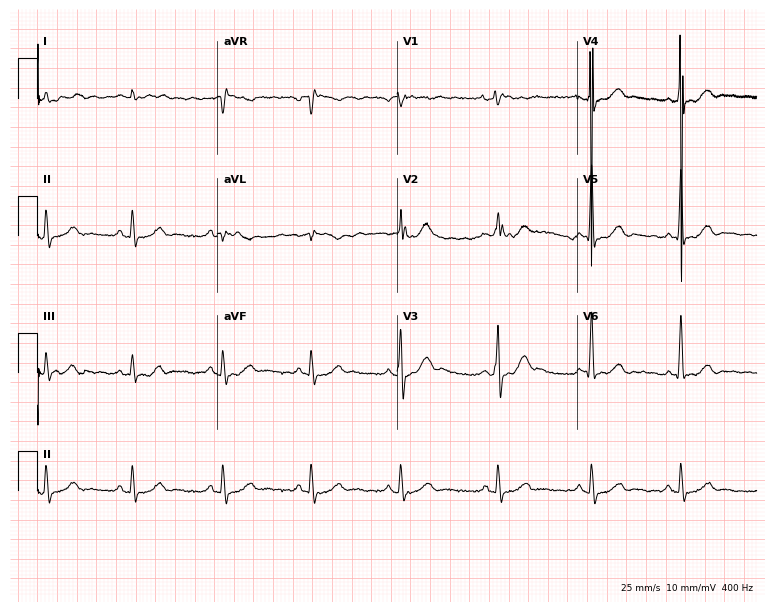
ECG — a 64-year-old male. Screened for six findings — first-degree AV block, right bundle branch block, left bundle branch block, sinus bradycardia, atrial fibrillation, sinus tachycardia — none is recorded.